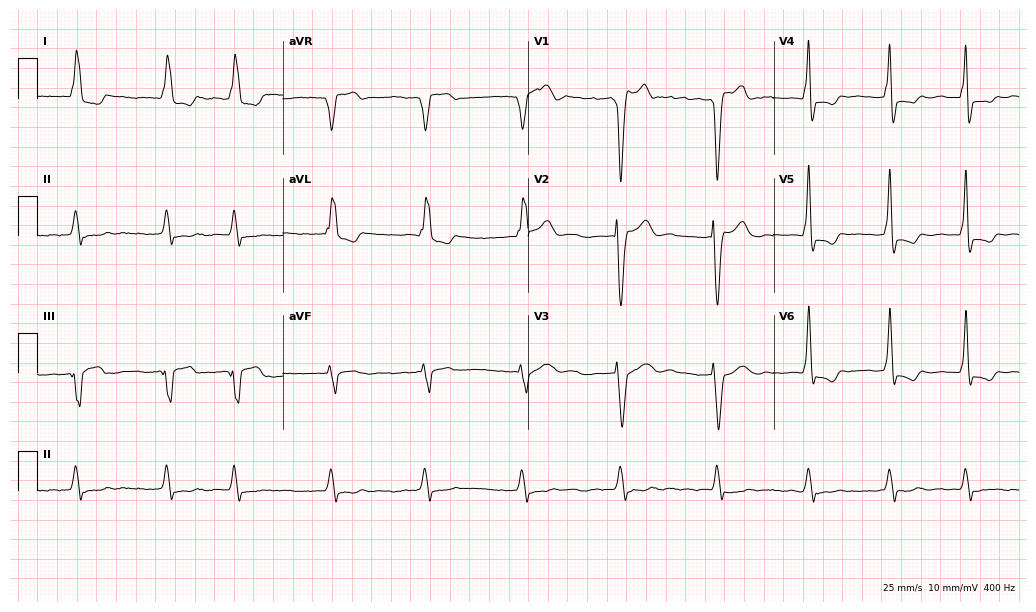
12-lead ECG from a 72-year-old female (10-second recording at 400 Hz). Shows atrial fibrillation (AF).